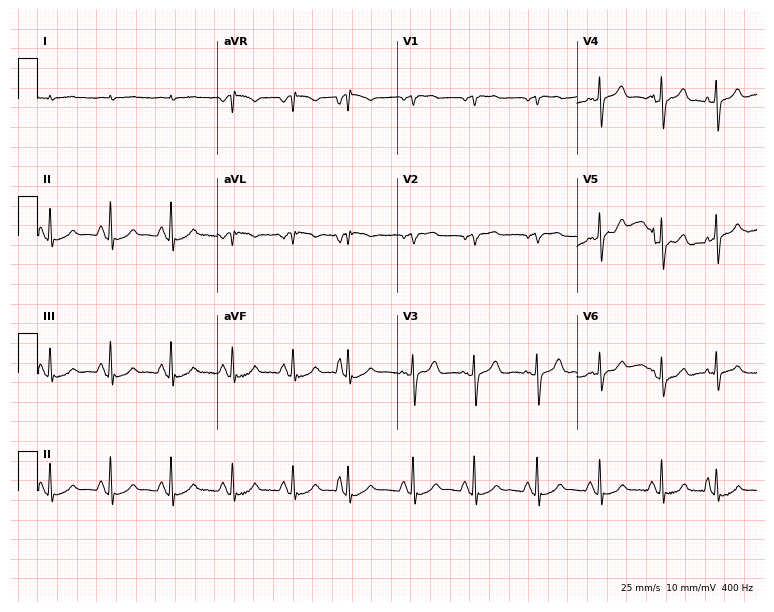
Electrocardiogram, a male patient, 86 years old. Of the six screened findings (first-degree AV block, right bundle branch block, left bundle branch block, sinus bradycardia, atrial fibrillation, sinus tachycardia), none is recorded.